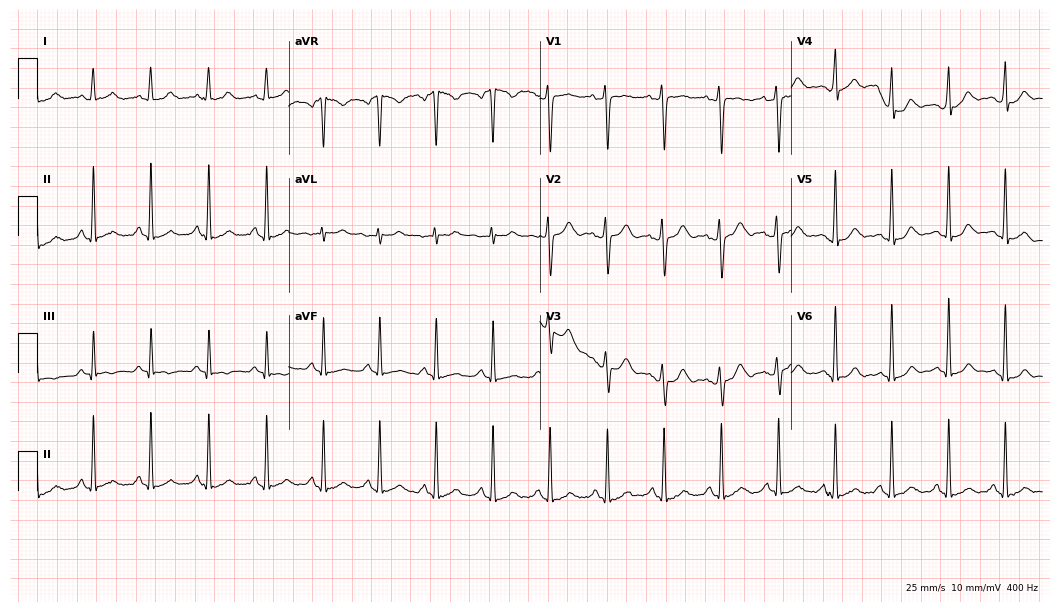
Standard 12-lead ECG recorded from a female patient, 20 years old. Read as a normal ECG.